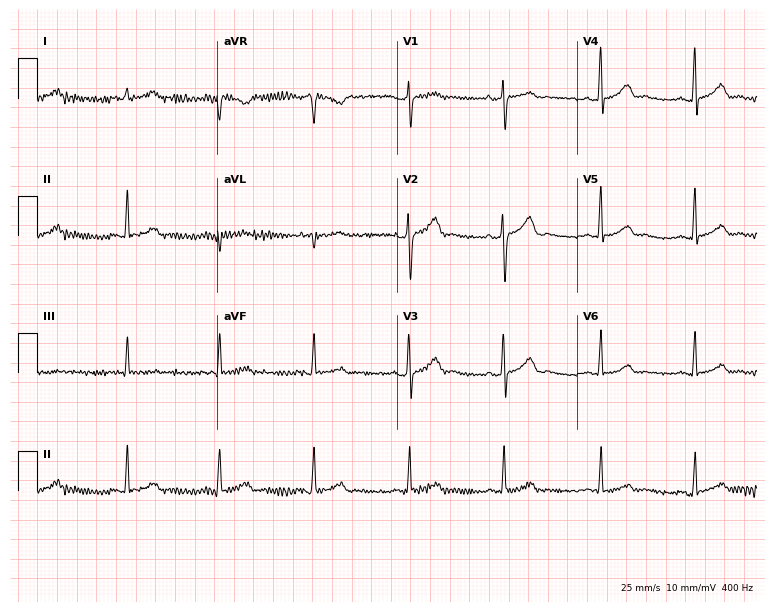
ECG (7.3-second recording at 400 Hz) — a 41-year-old female patient. Screened for six findings — first-degree AV block, right bundle branch block, left bundle branch block, sinus bradycardia, atrial fibrillation, sinus tachycardia — none is recorded. Other findings, if any, are not listed.